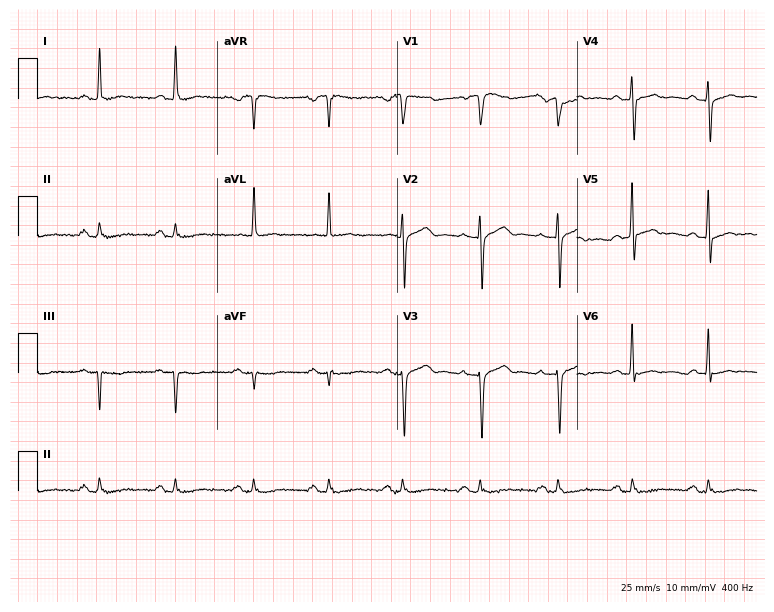
12-lead ECG from a female patient, 55 years old. Screened for six findings — first-degree AV block, right bundle branch block, left bundle branch block, sinus bradycardia, atrial fibrillation, sinus tachycardia — none is recorded.